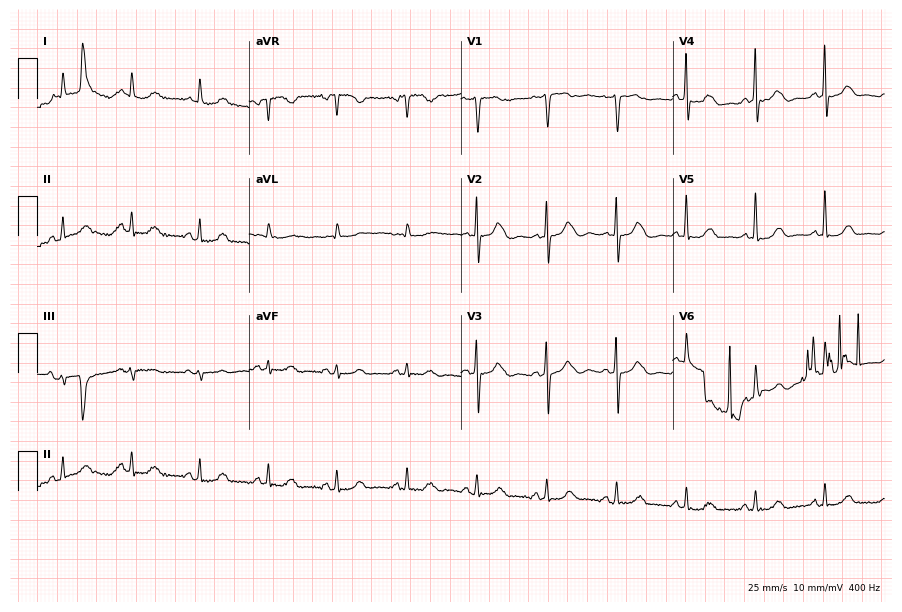
Electrocardiogram (8.6-second recording at 400 Hz), a female, 82 years old. Of the six screened findings (first-degree AV block, right bundle branch block, left bundle branch block, sinus bradycardia, atrial fibrillation, sinus tachycardia), none is recorded. Other findings, if any, are not listed.